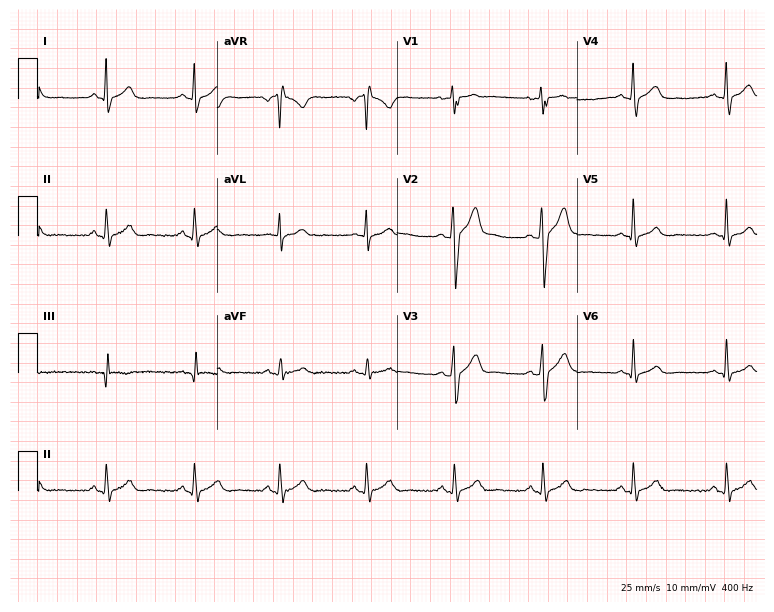
12-lead ECG from a female, 31 years old (7.3-second recording at 400 Hz). Recorded interpretation: within normal limits.